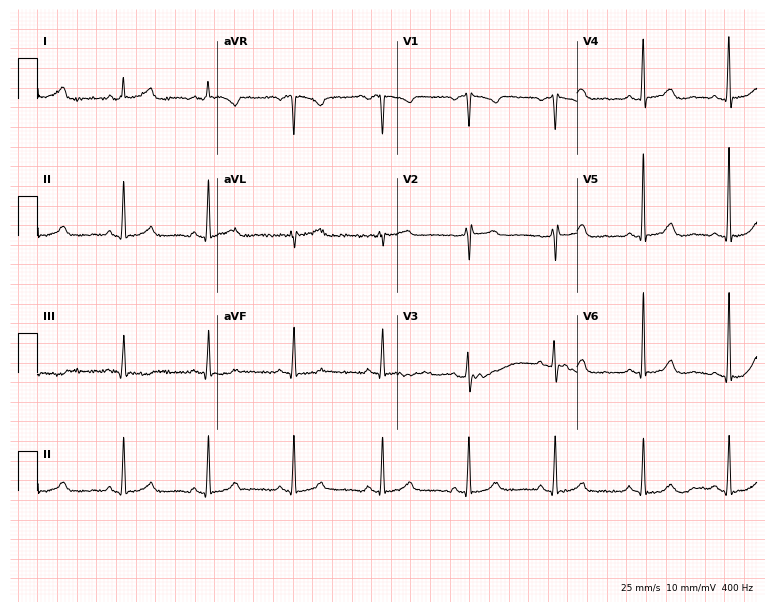
Electrocardiogram, a woman, 48 years old. Of the six screened findings (first-degree AV block, right bundle branch block (RBBB), left bundle branch block (LBBB), sinus bradycardia, atrial fibrillation (AF), sinus tachycardia), none is recorded.